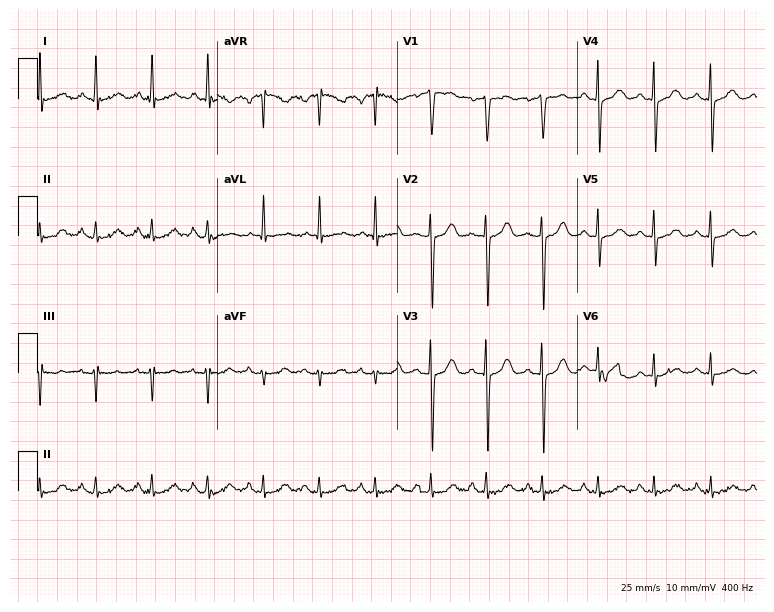
ECG — a female, 74 years old. Findings include sinus tachycardia (a sinus rate of 100 beats per minute or more).